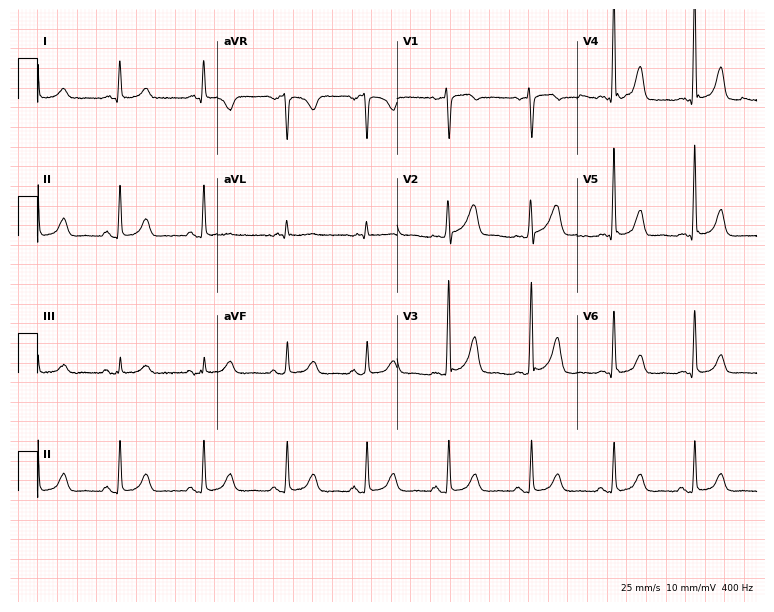
ECG — a 66-year-old female patient. Labelled as a normal ECG.